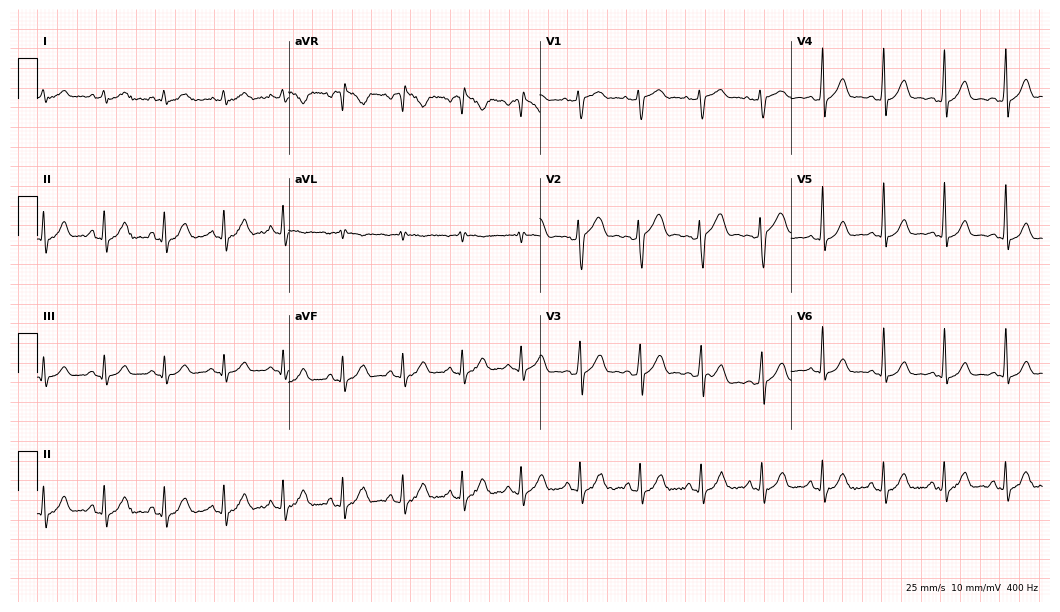
ECG — a 28-year-old male. Labelled as a normal ECG.